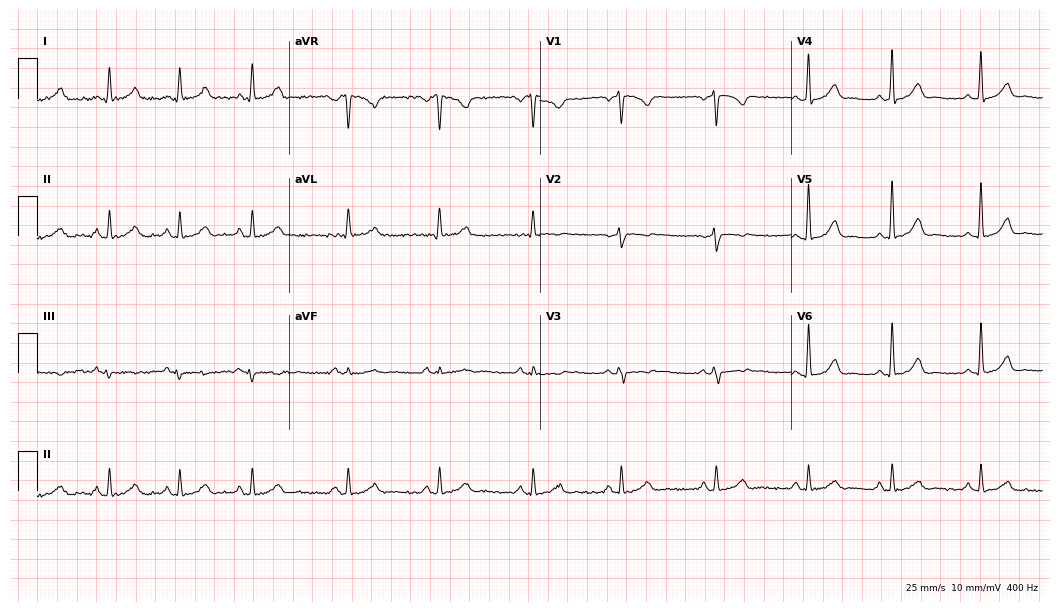
ECG (10.2-second recording at 400 Hz) — a female, 36 years old. Screened for six findings — first-degree AV block, right bundle branch block, left bundle branch block, sinus bradycardia, atrial fibrillation, sinus tachycardia — none is recorded.